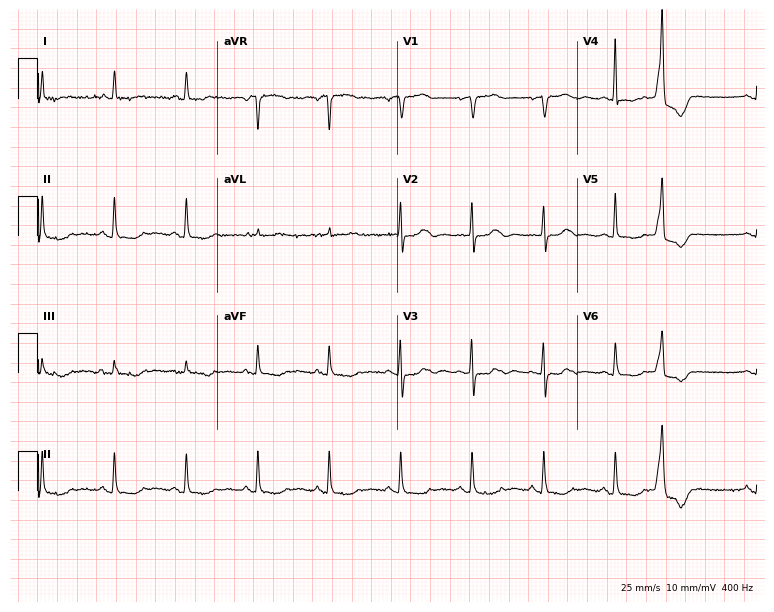
12-lead ECG (7.3-second recording at 400 Hz) from a female patient, 85 years old. Screened for six findings — first-degree AV block, right bundle branch block, left bundle branch block, sinus bradycardia, atrial fibrillation, sinus tachycardia — none is recorded. Only these six findings were labelled.